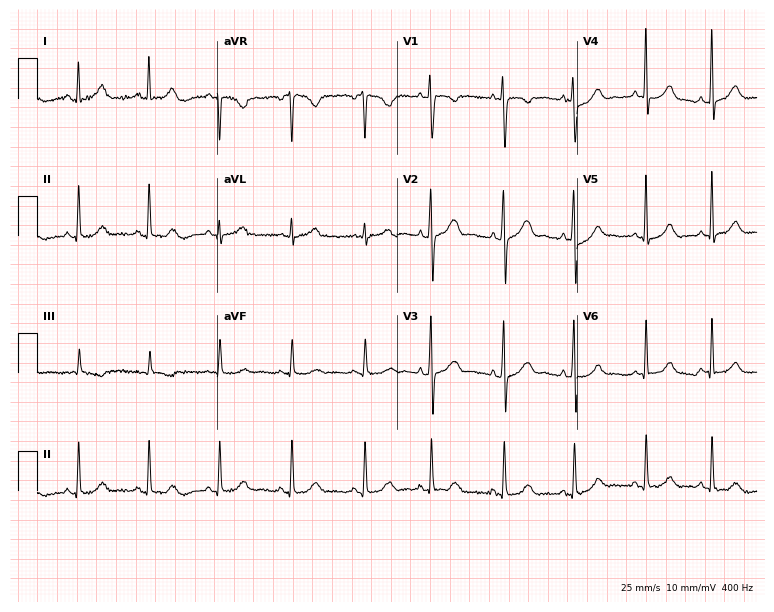
ECG — a 23-year-old female patient. Labelled as a normal ECG.